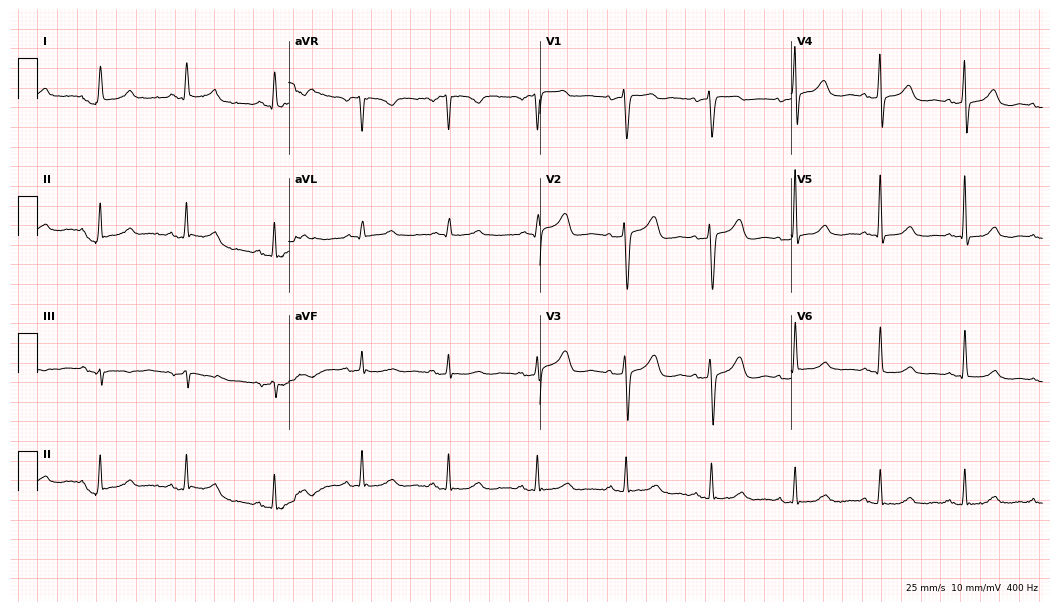
Electrocardiogram, a 63-year-old female. Of the six screened findings (first-degree AV block, right bundle branch block (RBBB), left bundle branch block (LBBB), sinus bradycardia, atrial fibrillation (AF), sinus tachycardia), none is recorded. Only these six findings were labelled.